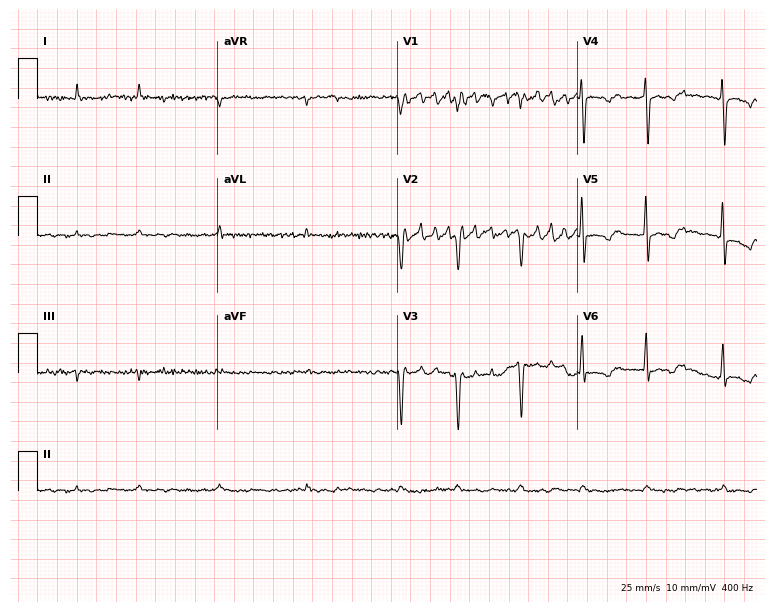
12-lead ECG from a man, 74 years old. Shows atrial fibrillation (AF).